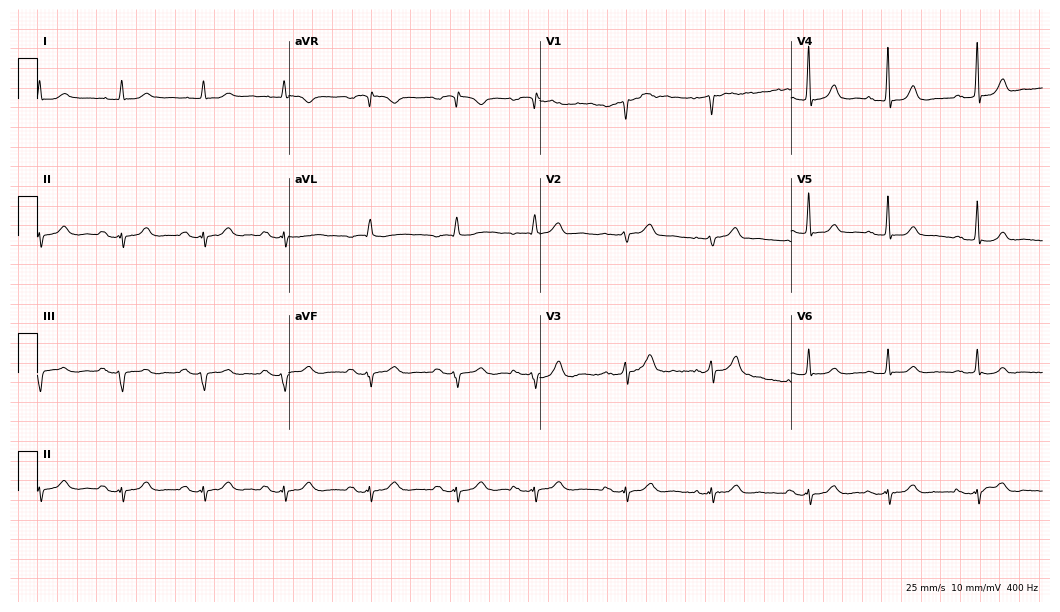
Standard 12-lead ECG recorded from a male, 81 years old (10.2-second recording at 400 Hz). None of these six findings is recorded: first-degree AV block, right bundle branch block, left bundle branch block, sinus bradycardia, atrial fibrillation, sinus tachycardia.